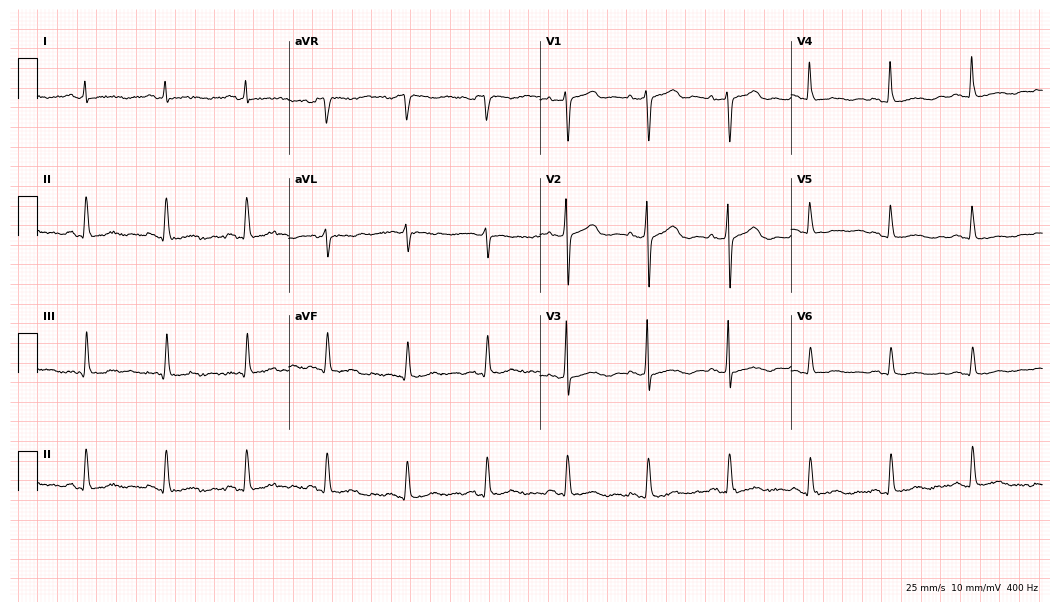
Electrocardiogram (10.2-second recording at 400 Hz), a 71-year-old female patient. Of the six screened findings (first-degree AV block, right bundle branch block (RBBB), left bundle branch block (LBBB), sinus bradycardia, atrial fibrillation (AF), sinus tachycardia), none is recorded.